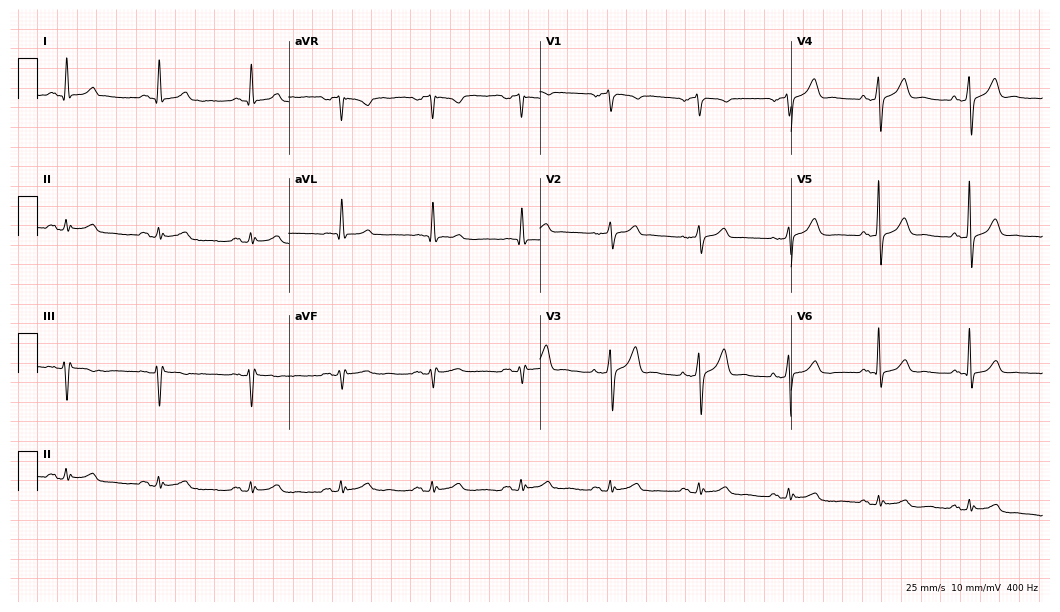
12-lead ECG from a 69-year-old man. Recorded interpretation: within normal limits.